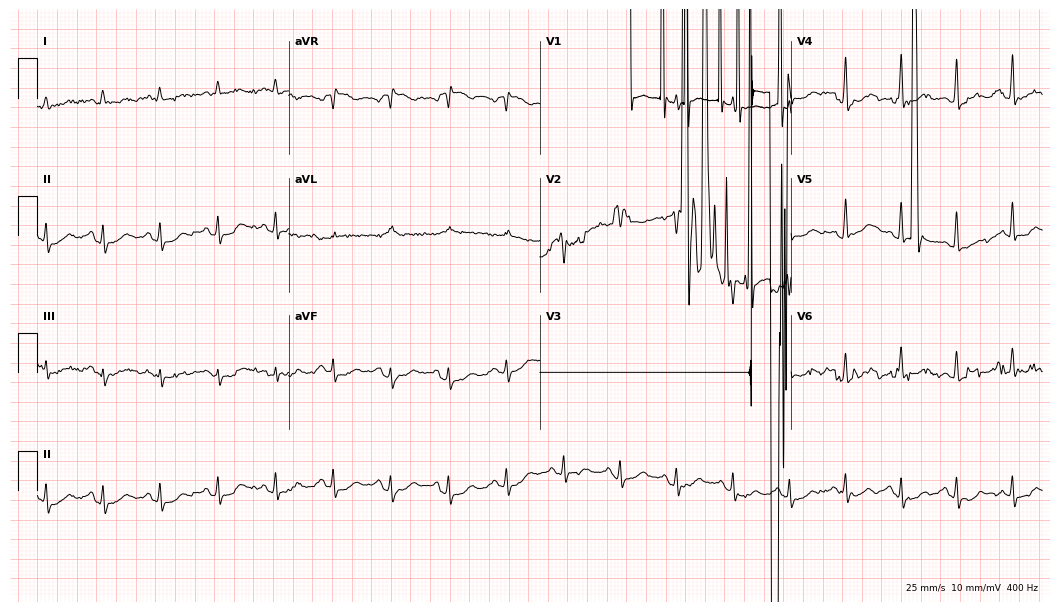
12-lead ECG from a woman, 51 years old (10.2-second recording at 400 Hz). No first-degree AV block, right bundle branch block (RBBB), left bundle branch block (LBBB), sinus bradycardia, atrial fibrillation (AF) or sinus tachycardia recorded for this tracing. Findings outside these six are not listed.